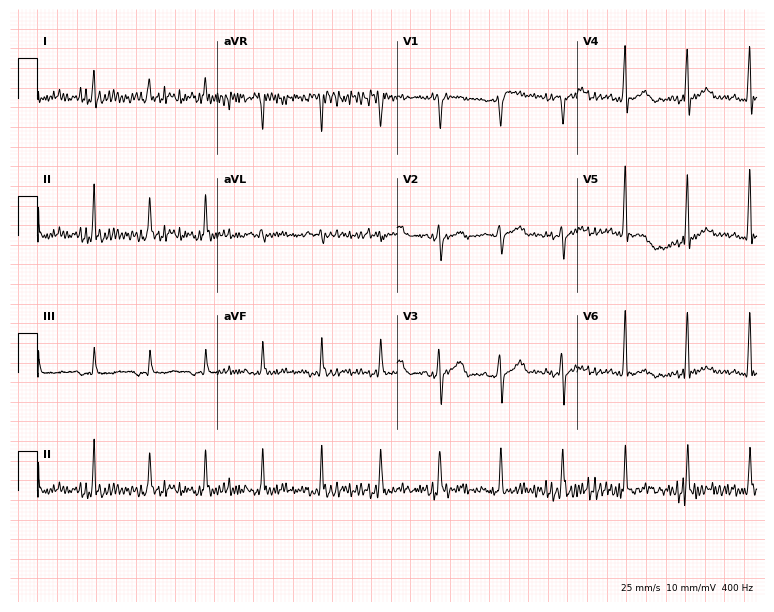
12-lead ECG from a male patient, 71 years old. No first-degree AV block, right bundle branch block (RBBB), left bundle branch block (LBBB), sinus bradycardia, atrial fibrillation (AF) or sinus tachycardia recorded for this tracing.